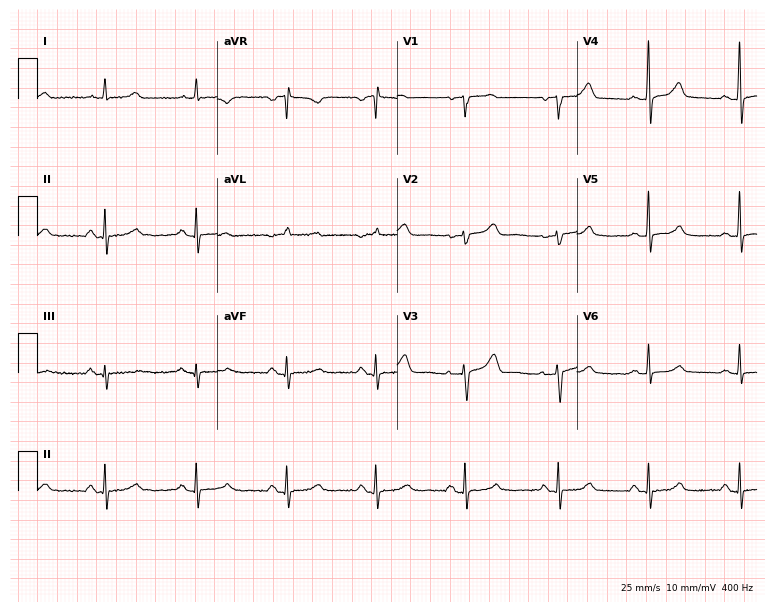
ECG (7.3-second recording at 400 Hz) — a female, 56 years old. Labelled as a normal ECG.